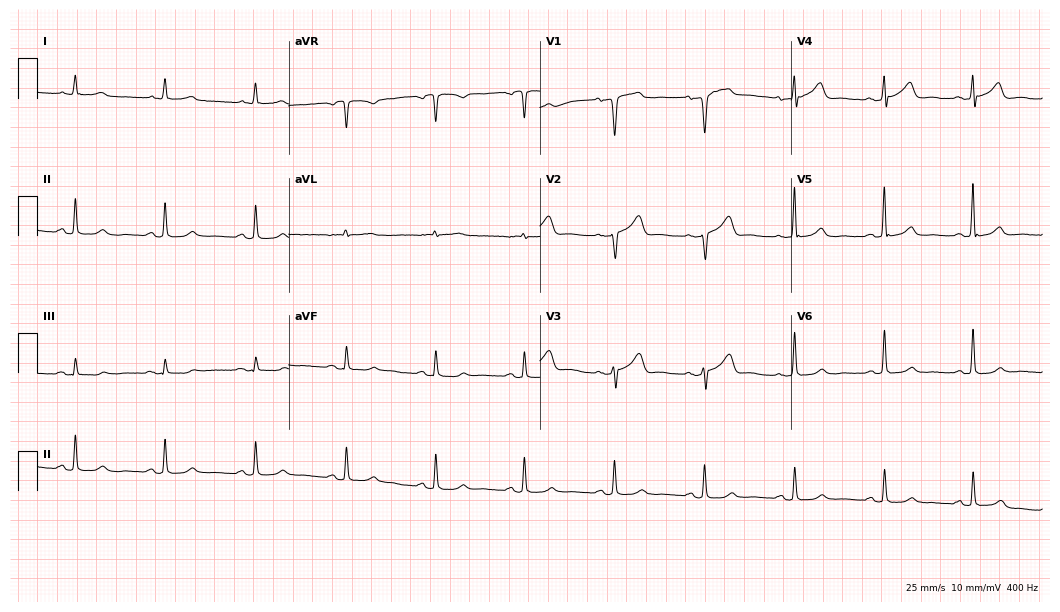
Standard 12-lead ECG recorded from a 72-year-old male patient. None of these six findings is recorded: first-degree AV block, right bundle branch block, left bundle branch block, sinus bradycardia, atrial fibrillation, sinus tachycardia. Only these six findings were labelled.